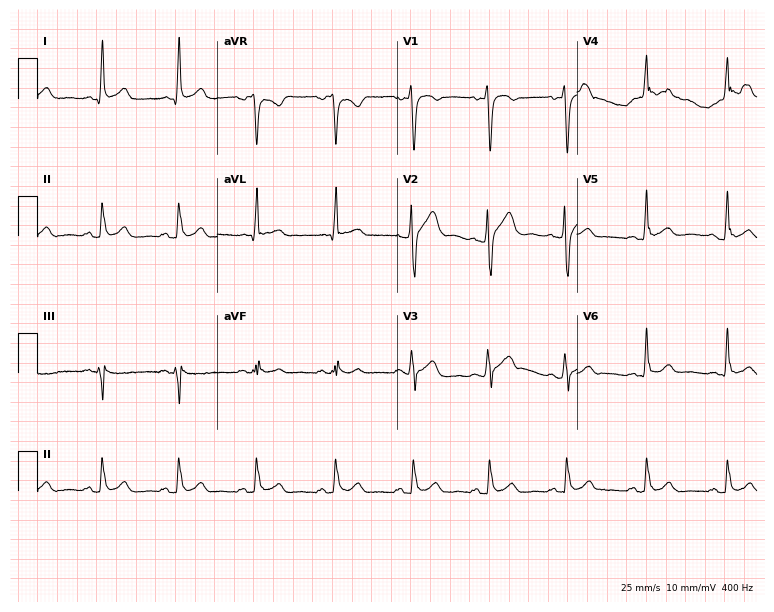
Standard 12-lead ECG recorded from a male, 36 years old (7.3-second recording at 400 Hz). None of these six findings is recorded: first-degree AV block, right bundle branch block (RBBB), left bundle branch block (LBBB), sinus bradycardia, atrial fibrillation (AF), sinus tachycardia. Findings outside these six are not listed.